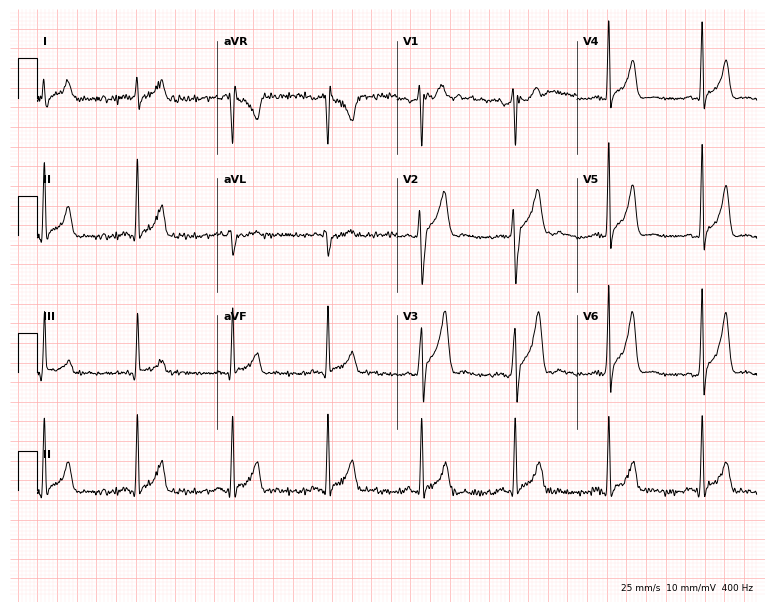
Standard 12-lead ECG recorded from a male, 76 years old (7.3-second recording at 400 Hz). None of these six findings is recorded: first-degree AV block, right bundle branch block, left bundle branch block, sinus bradycardia, atrial fibrillation, sinus tachycardia. Findings outside these six are not listed.